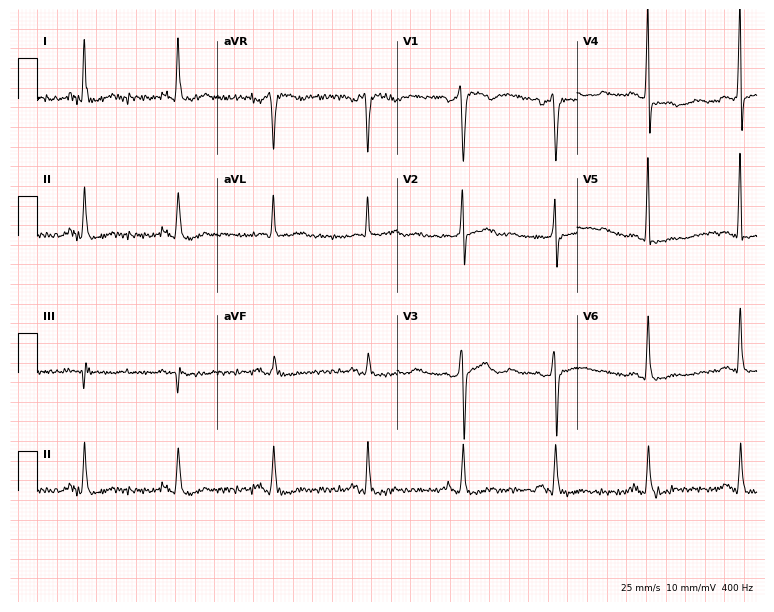
ECG (7.3-second recording at 400 Hz) — a 63-year-old man. Labelled as a normal ECG.